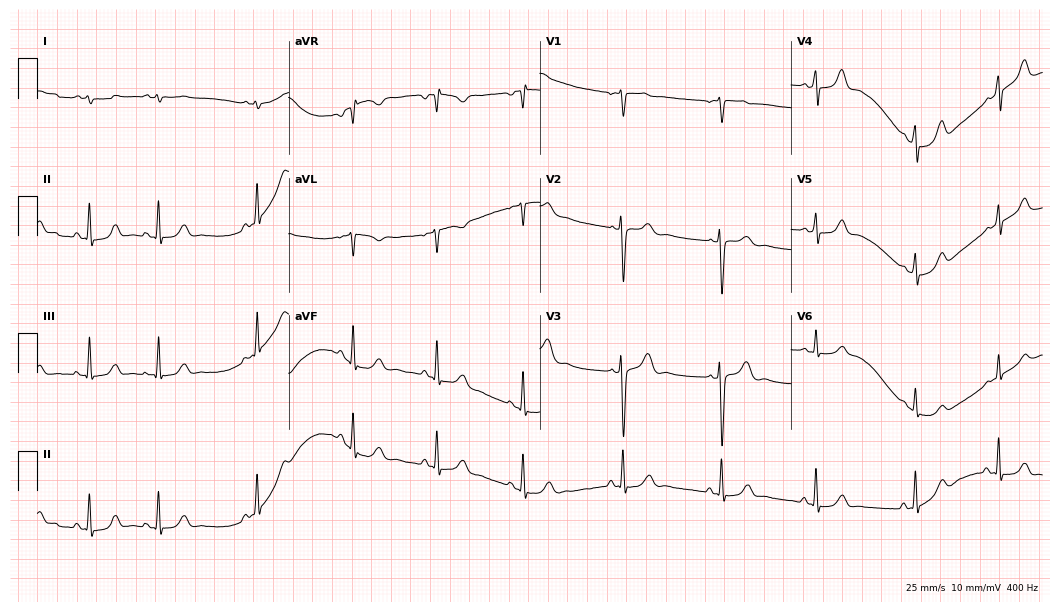
Standard 12-lead ECG recorded from an 18-year-old female patient (10.2-second recording at 400 Hz). Read as a normal ECG.